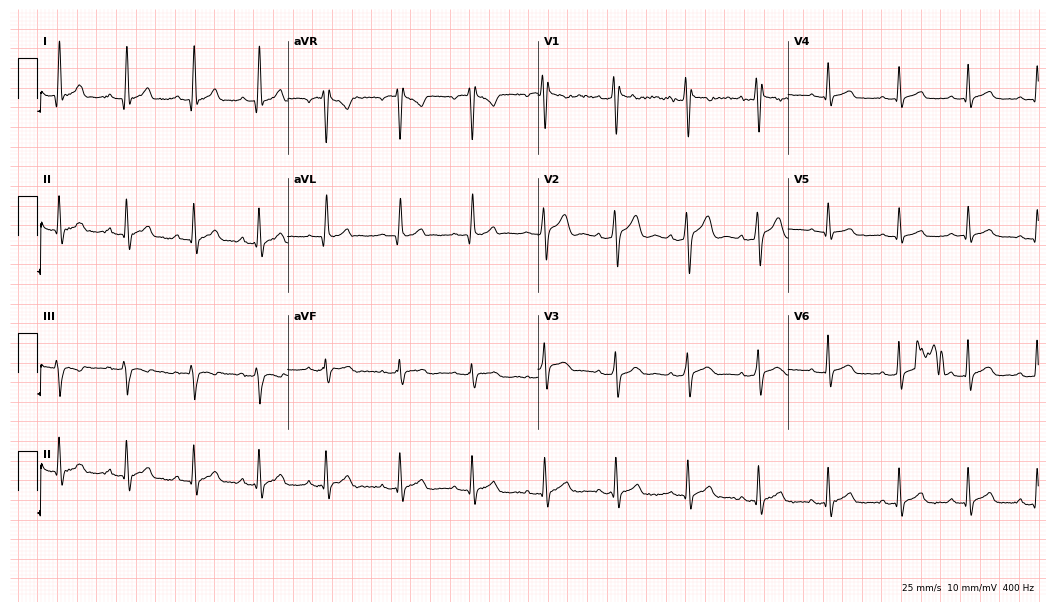
12-lead ECG from a 19-year-old male. Screened for six findings — first-degree AV block, right bundle branch block, left bundle branch block, sinus bradycardia, atrial fibrillation, sinus tachycardia — none is recorded.